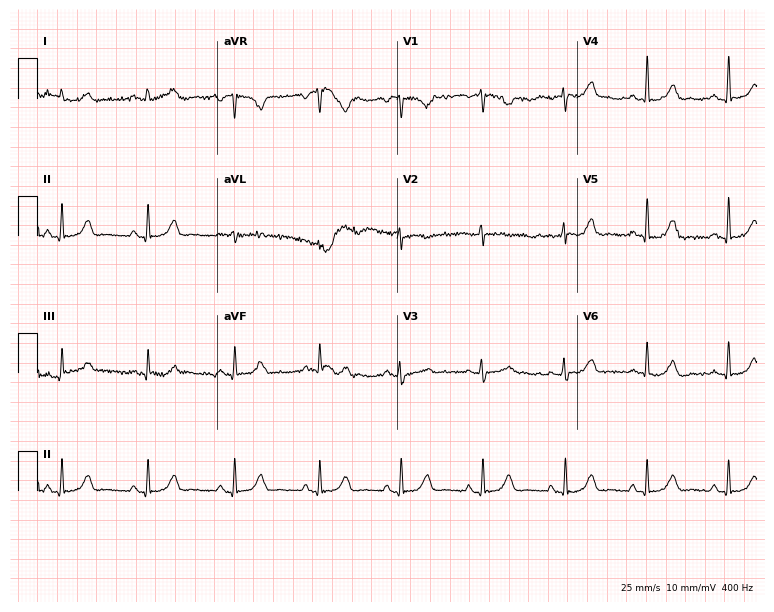
Standard 12-lead ECG recorded from a 37-year-old female patient (7.3-second recording at 400 Hz). Read as a normal ECG.